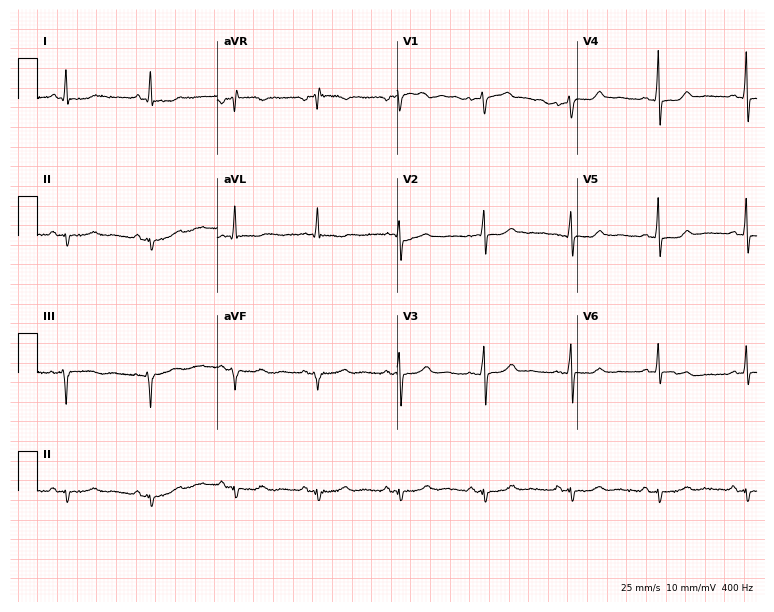
ECG — a female, 61 years old. Screened for six findings — first-degree AV block, right bundle branch block, left bundle branch block, sinus bradycardia, atrial fibrillation, sinus tachycardia — none is recorded.